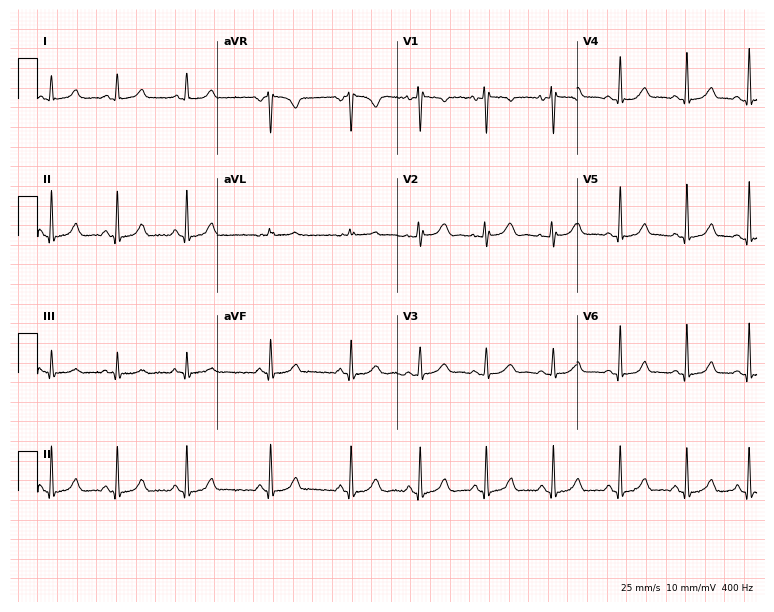
12-lead ECG from a 22-year-old female. Labelled as a normal ECG.